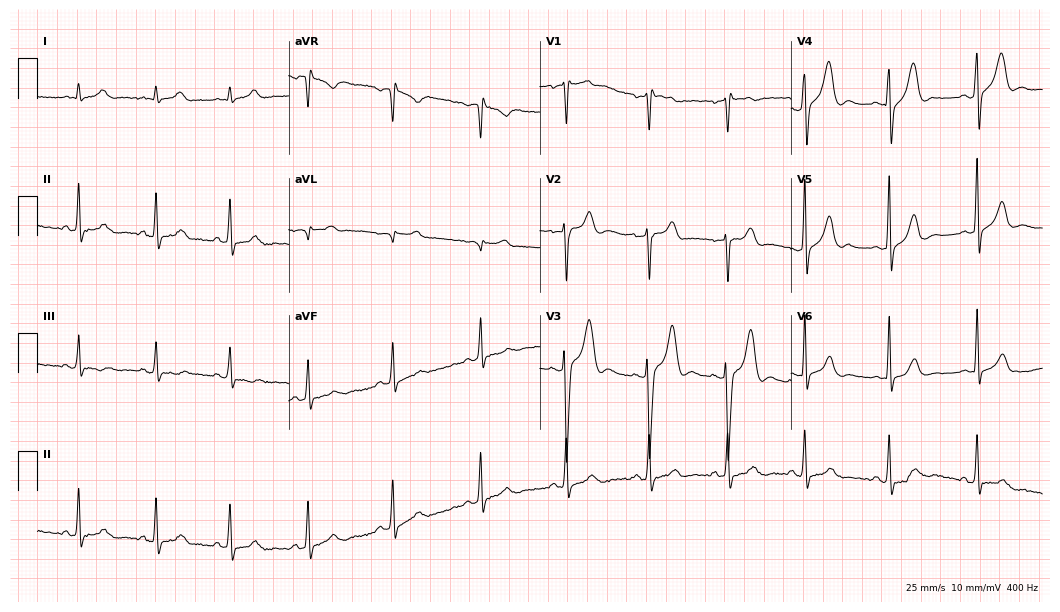
12-lead ECG (10.2-second recording at 400 Hz) from a 25-year-old man. Screened for six findings — first-degree AV block, right bundle branch block (RBBB), left bundle branch block (LBBB), sinus bradycardia, atrial fibrillation (AF), sinus tachycardia — none is recorded.